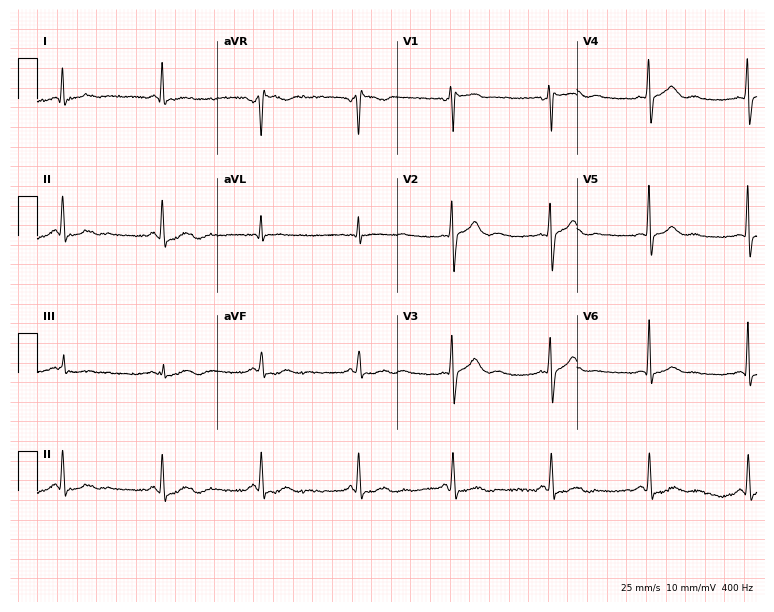
12-lead ECG from a 51-year-old male patient. No first-degree AV block, right bundle branch block, left bundle branch block, sinus bradycardia, atrial fibrillation or sinus tachycardia recorded for this tracing. Only these six findings were labelled.